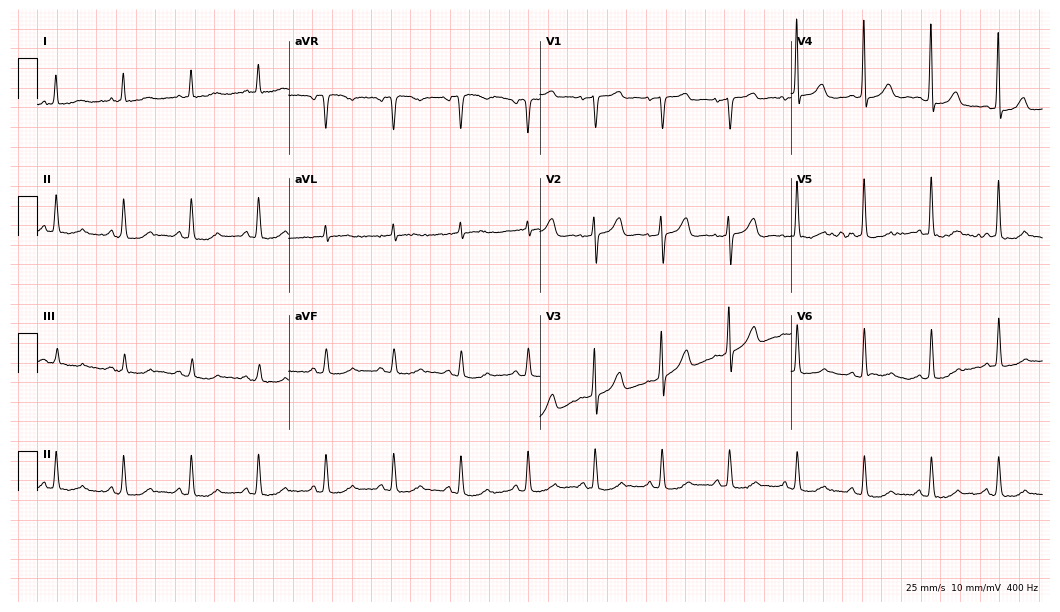
12-lead ECG (10.2-second recording at 400 Hz) from an 81-year-old female patient. Screened for six findings — first-degree AV block, right bundle branch block (RBBB), left bundle branch block (LBBB), sinus bradycardia, atrial fibrillation (AF), sinus tachycardia — none is recorded.